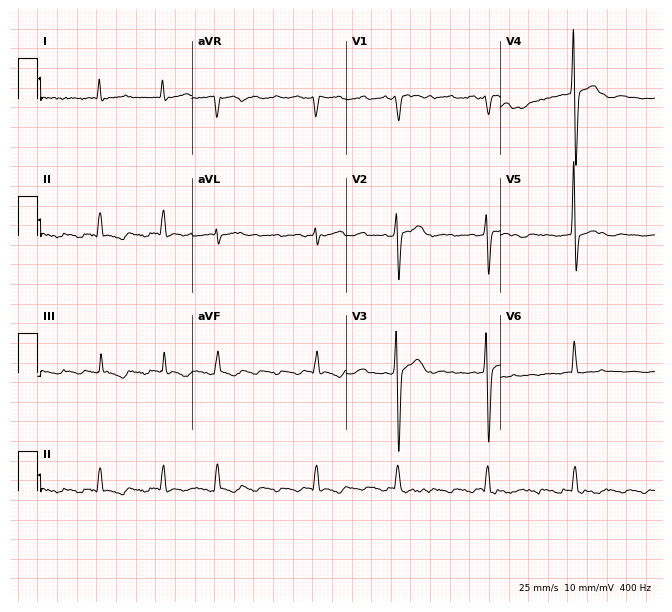
12-lead ECG from a male, 77 years old. Screened for six findings — first-degree AV block, right bundle branch block (RBBB), left bundle branch block (LBBB), sinus bradycardia, atrial fibrillation (AF), sinus tachycardia — none is recorded.